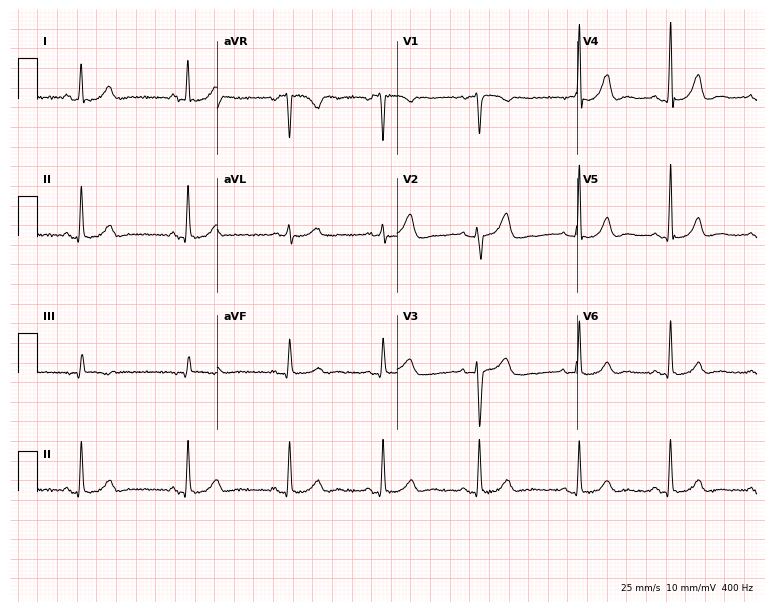
12-lead ECG from a 40-year-old female. Recorded interpretation: within normal limits.